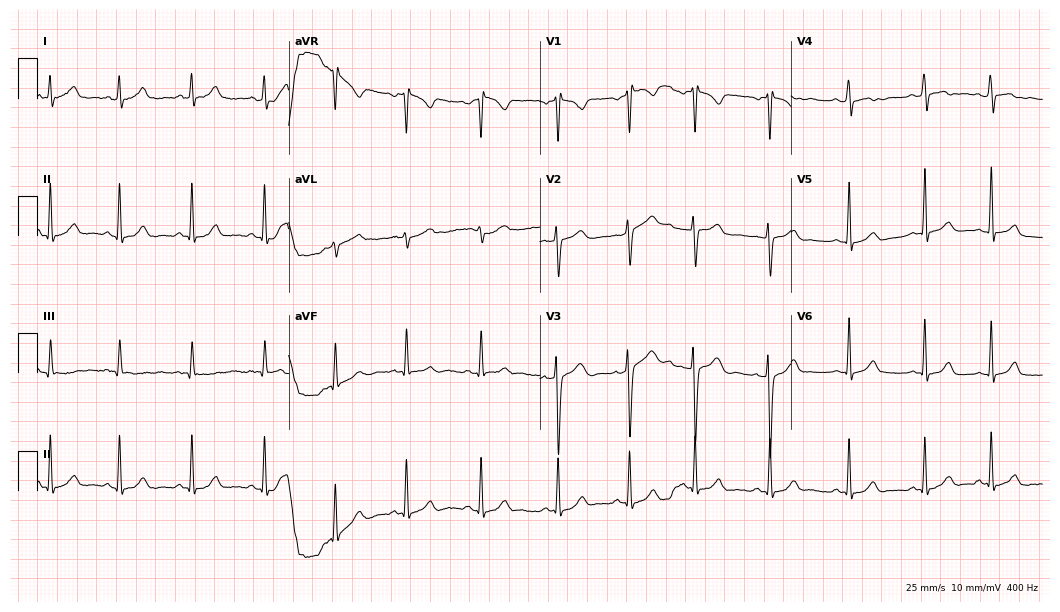
Standard 12-lead ECG recorded from a female, 28 years old. None of these six findings is recorded: first-degree AV block, right bundle branch block (RBBB), left bundle branch block (LBBB), sinus bradycardia, atrial fibrillation (AF), sinus tachycardia.